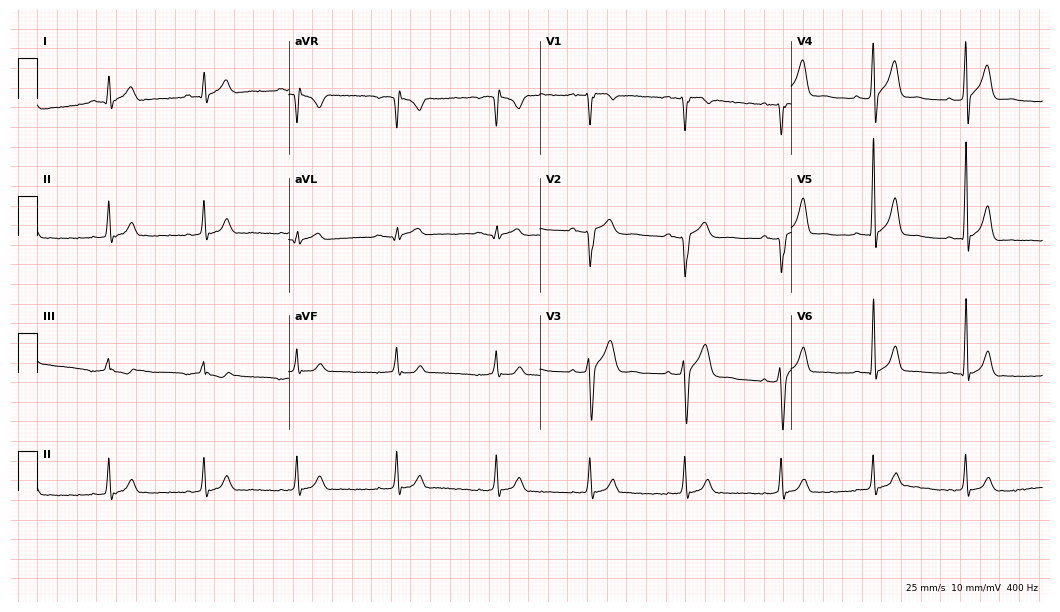
12-lead ECG from a 21-year-old male patient. Labelled as a normal ECG.